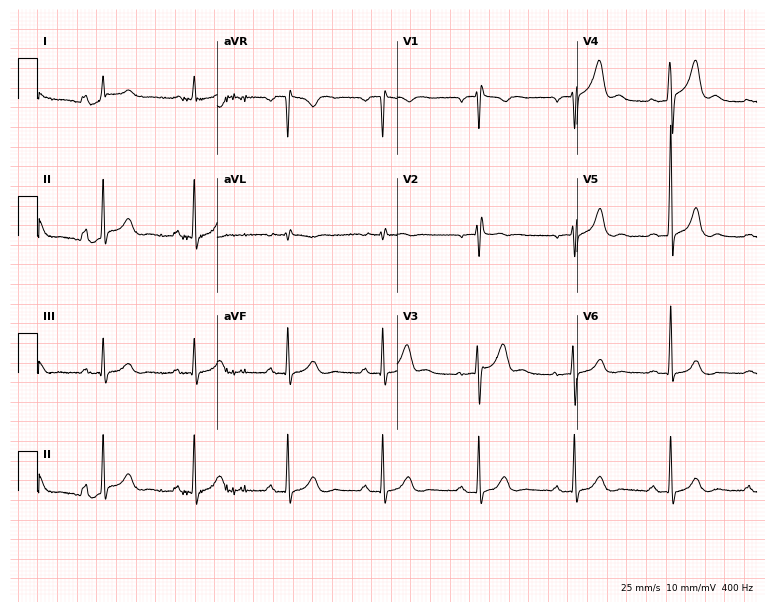
Standard 12-lead ECG recorded from a 59-year-old man (7.3-second recording at 400 Hz). None of these six findings is recorded: first-degree AV block, right bundle branch block, left bundle branch block, sinus bradycardia, atrial fibrillation, sinus tachycardia.